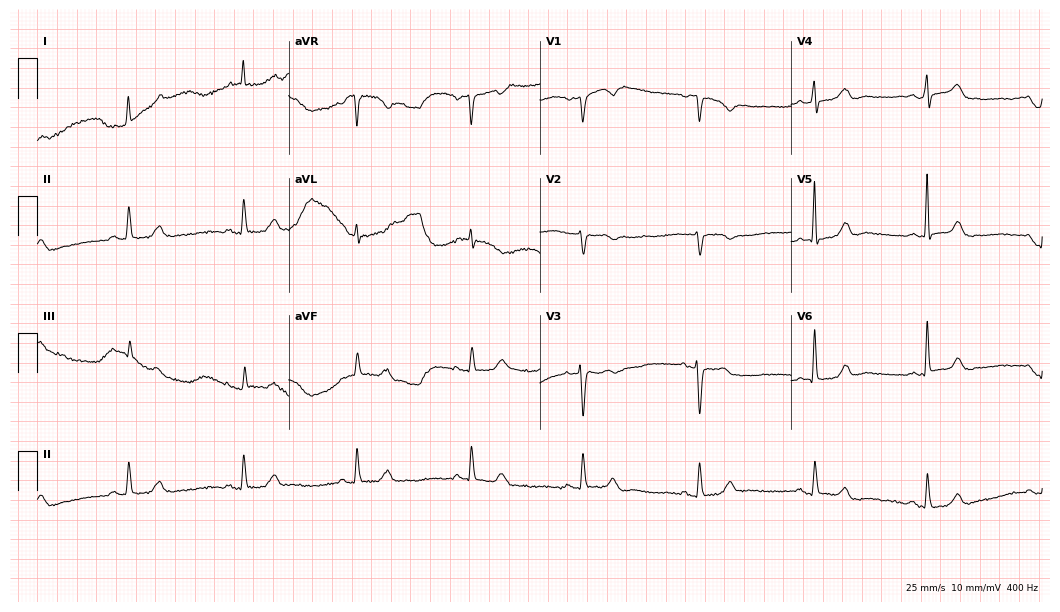
Resting 12-lead electrocardiogram (10.2-second recording at 400 Hz). Patient: a 56-year-old female. Read as a normal ECG.